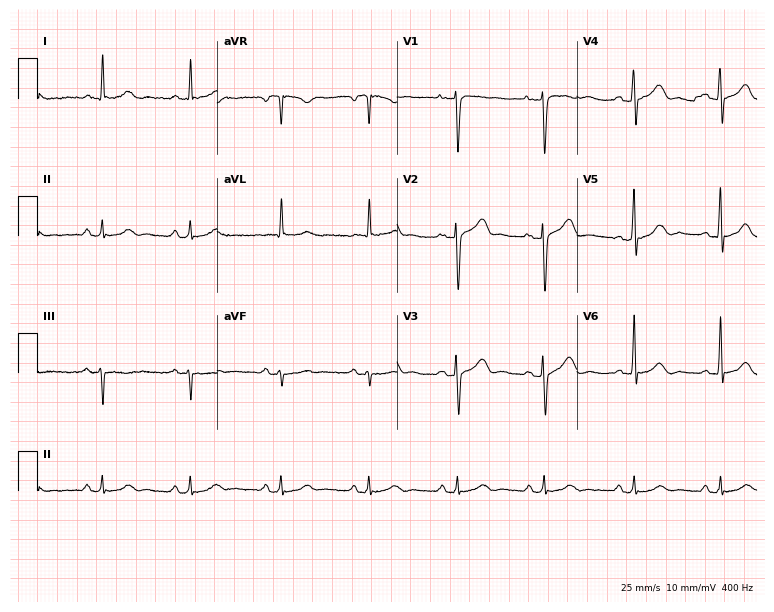
ECG (7.3-second recording at 400 Hz) — a 61-year-old male patient. Labelled as a normal ECG.